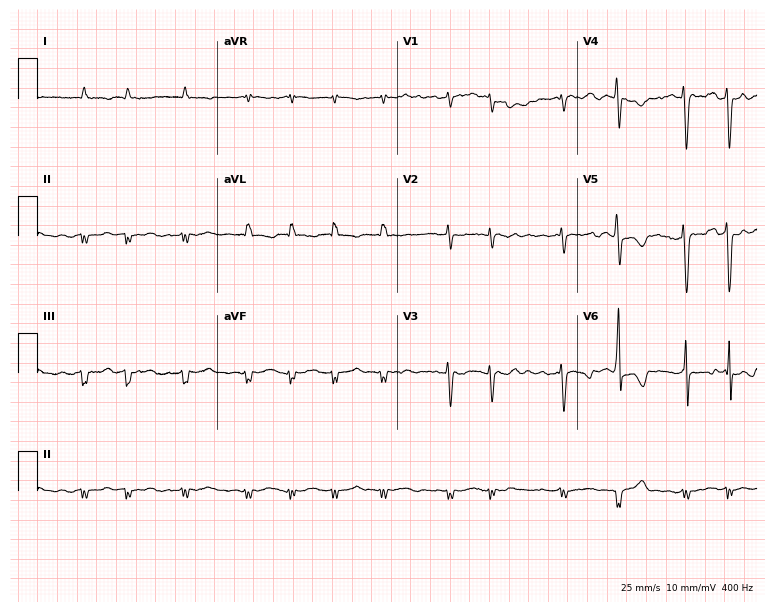
Resting 12-lead electrocardiogram (7.3-second recording at 400 Hz). Patient: a 72-year-old female. None of these six findings is recorded: first-degree AV block, right bundle branch block (RBBB), left bundle branch block (LBBB), sinus bradycardia, atrial fibrillation (AF), sinus tachycardia. Other findings, if any, are not listed.